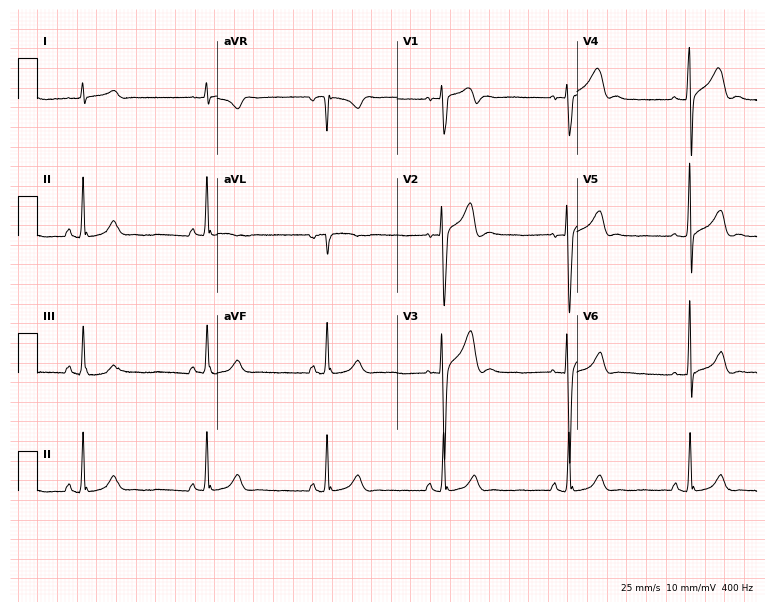
12-lead ECG from a 19-year-old male. Recorded interpretation: within normal limits.